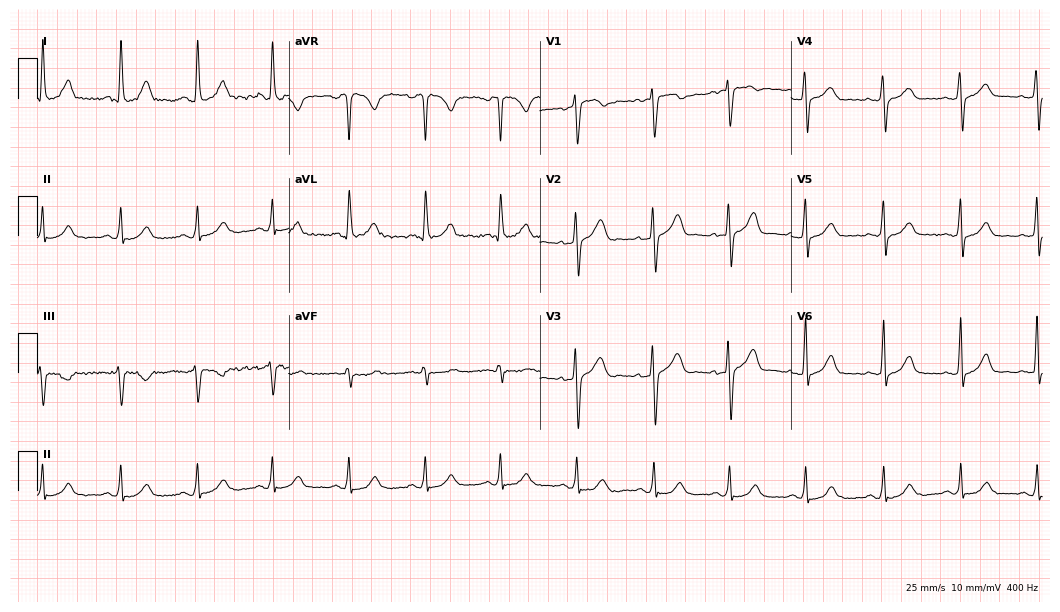
12-lead ECG (10.2-second recording at 400 Hz) from a woman, 40 years old. Labelled as a normal ECG.